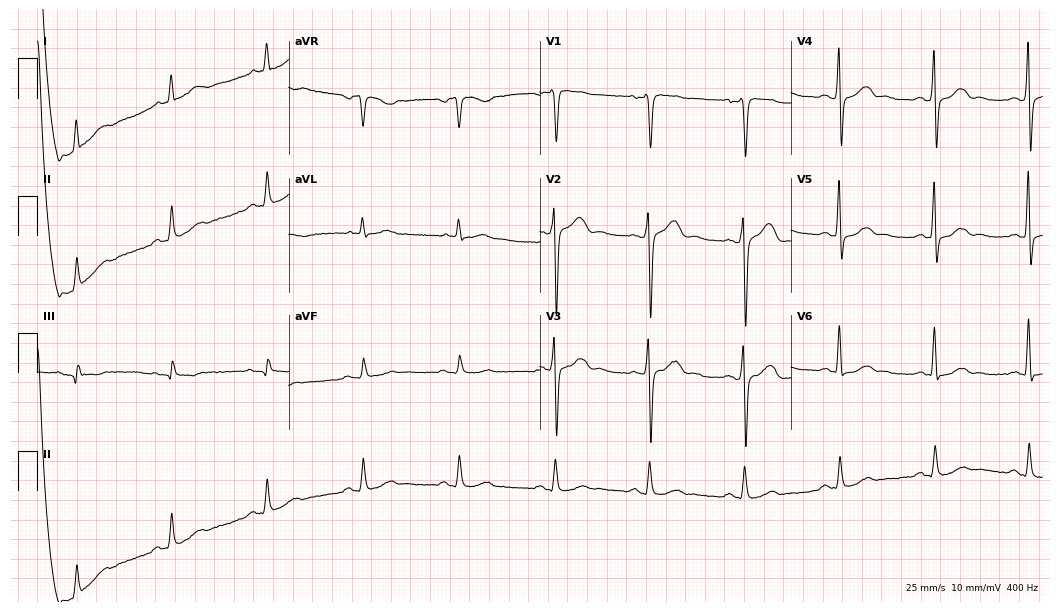
Electrocardiogram (10.2-second recording at 400 Hz), a male, 61 years old. Overall reading on record: normal ECG.